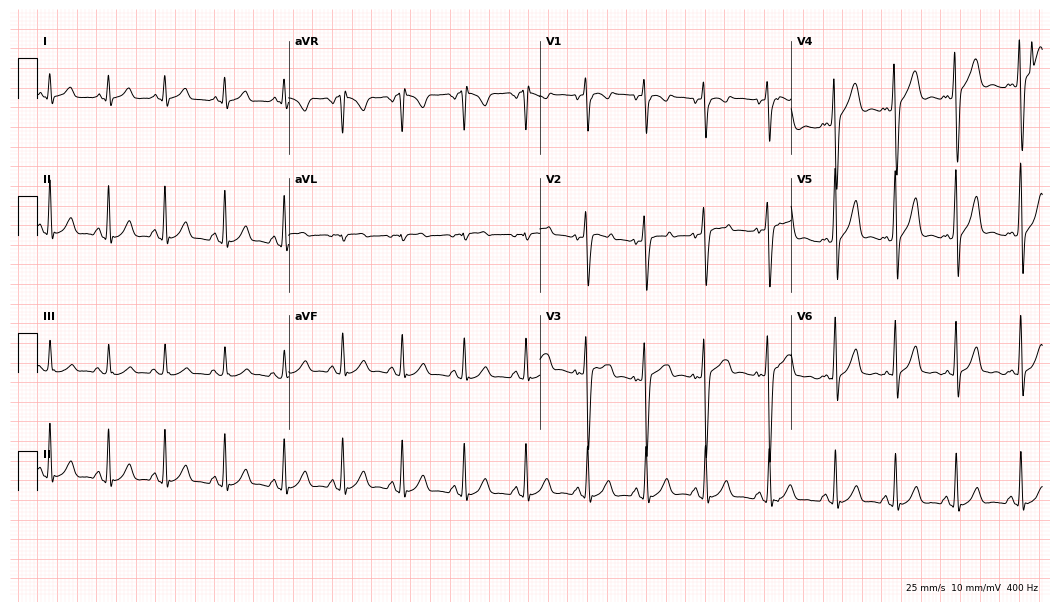
12-lead ECG from an 18-year-old male (10.2-second recording at 400 Hz). Recorded interpretation: within normal limits.